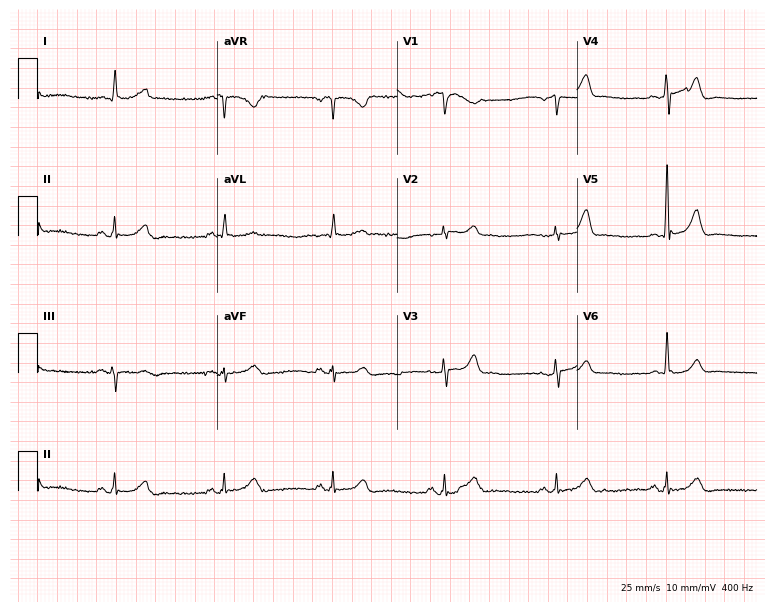
12-lead ECG from a man, 73 years old. Recorded interpretation: within normal limits.